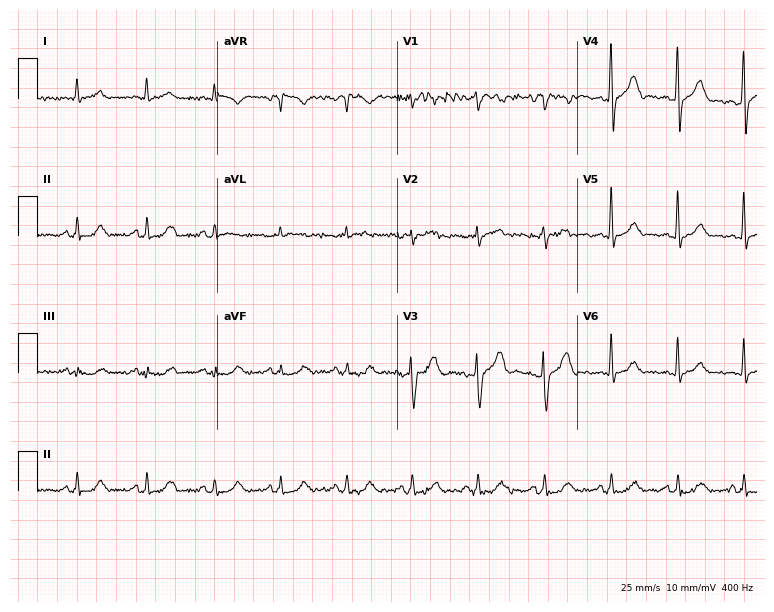
12-lead ECG from a male patient, 42 years old. Recorded interpretation: within normal limits.